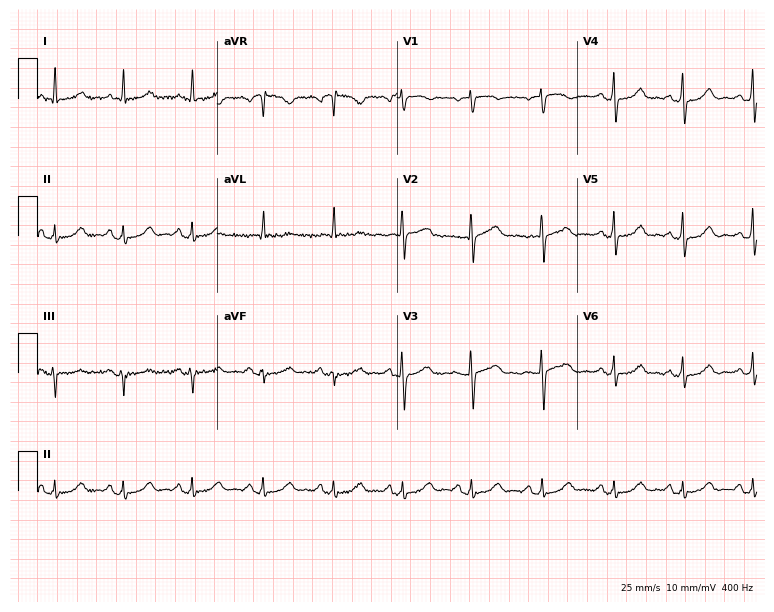
Resting 12-lead electrocardiogram. Patient: a 71-year-old woman. Read as a normal ECG.